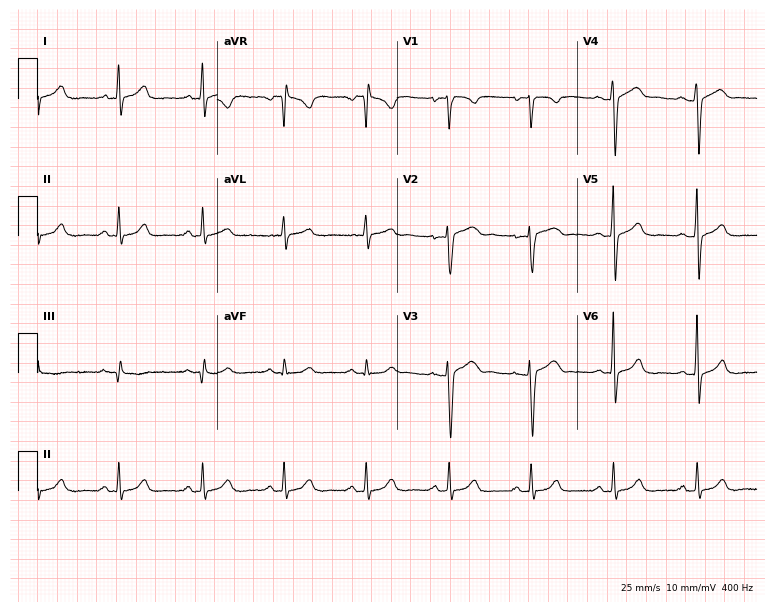
ECG (7.3-second recording at 400 Hz) — a 31-year-old male patient. Labelled as a normal ECG.